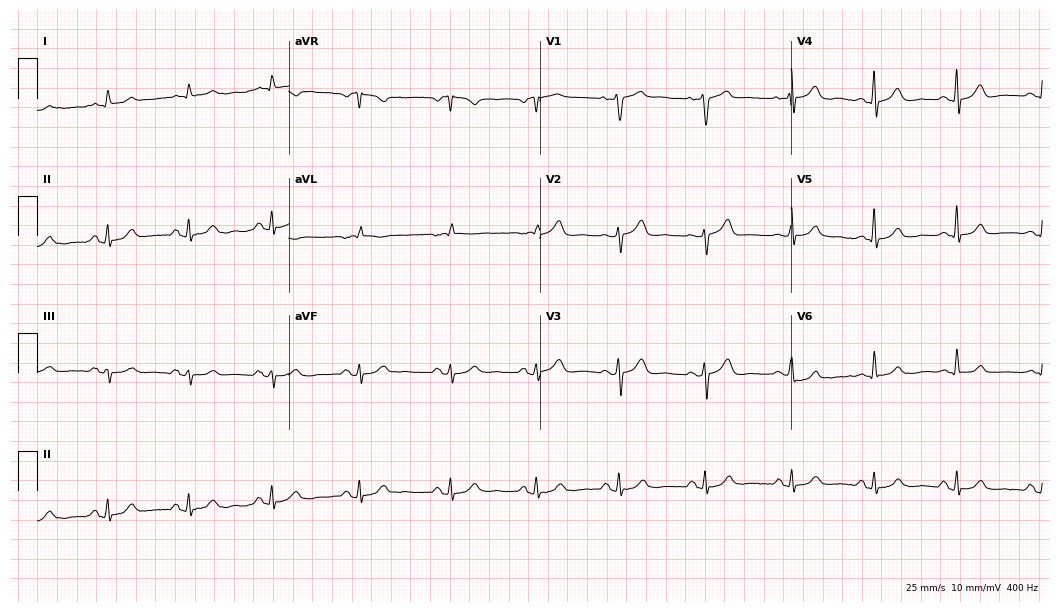
Resting 12-lead electrocardiogram (10.2-second recording at 400 Hz). Patient: a 71-year-old male. Read as a normal ECG.